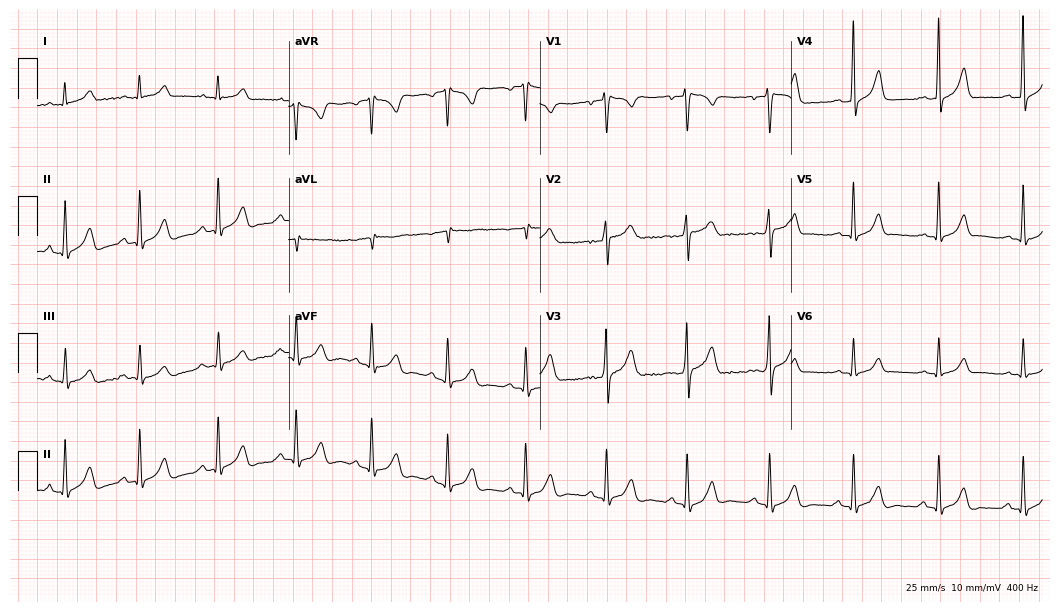
ECG — a man, 27 years old. Labelled as a normal ECG.